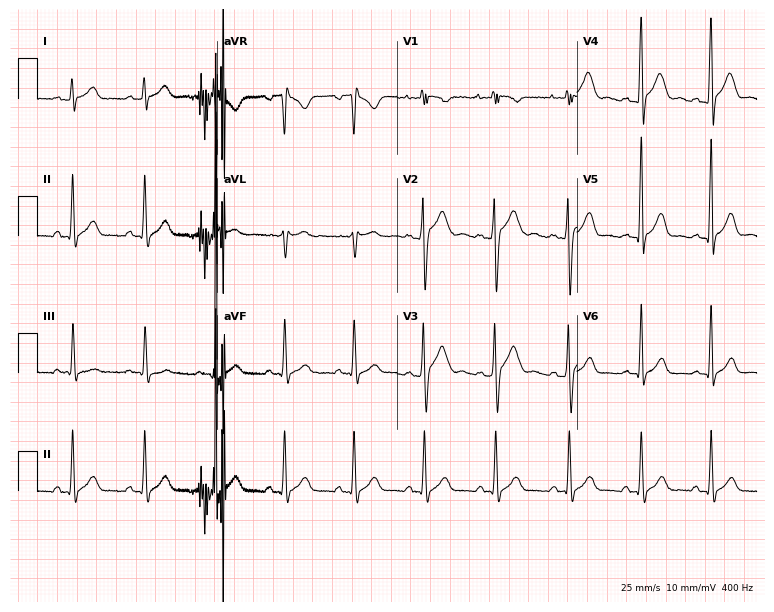
12-lead ECG from a male, 28 years old. Screened for six findings — first-degree AV block, right bundle branch block, left bundle branch block, sinus bradycardia, atrial fibrillation, sinus tachycardia — none is recorded.